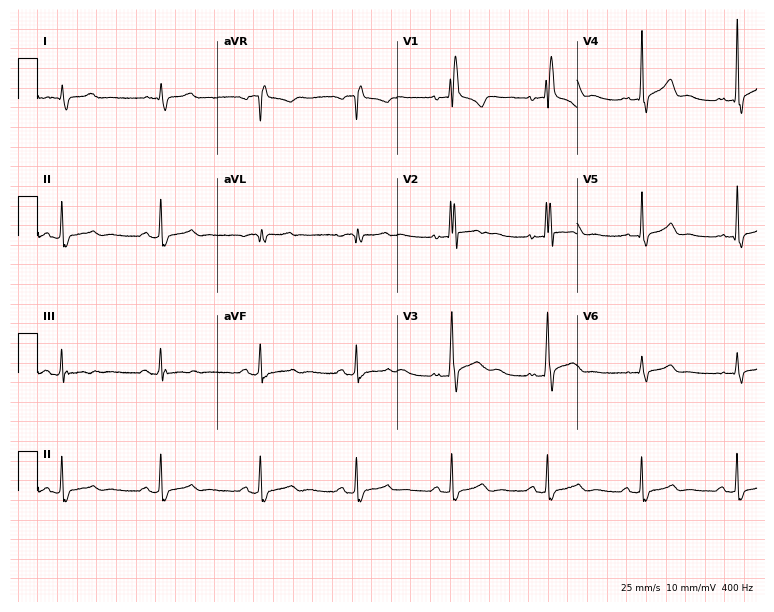
Electrocardiogram, a 55-year-old male. Of the six screened findings (first-degree AV block, right bundle branch block (RBBB), left bundle branch block (LBBB), sinus bradycardia, atrial fibrillation (AF), sinus tachycardia), none is recorded. Only these six findings were labelled.